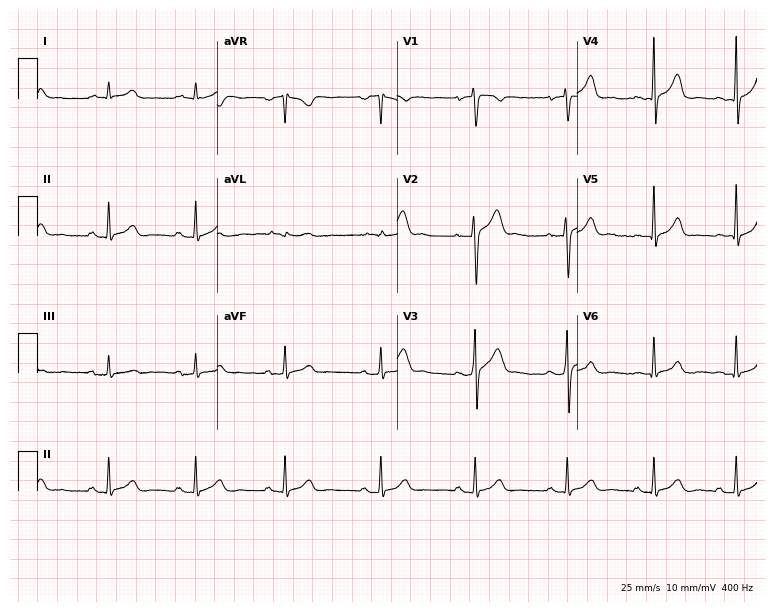
Electrocardiogram, a male patient, 23 years old. Overall reading on record: normal ECG.